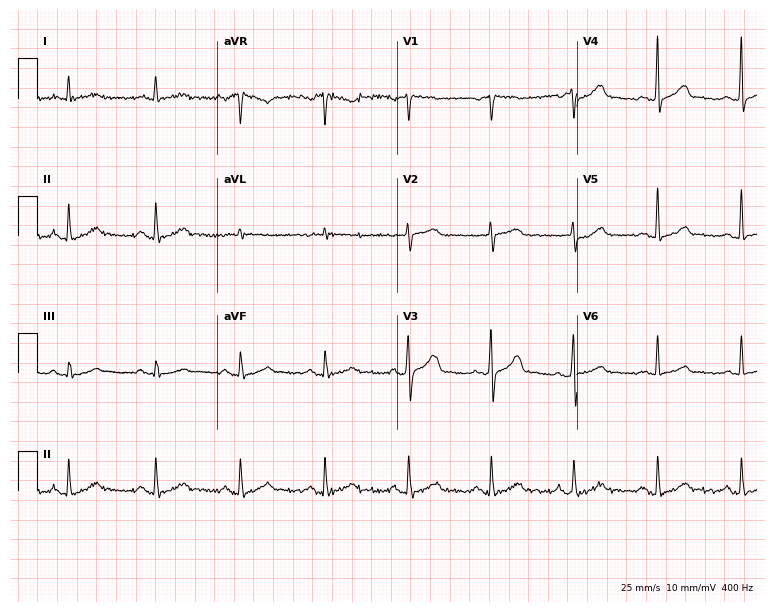
Standard 12-lead ECG recorded from a male patient, 79 years old. Read as a normal ECG.